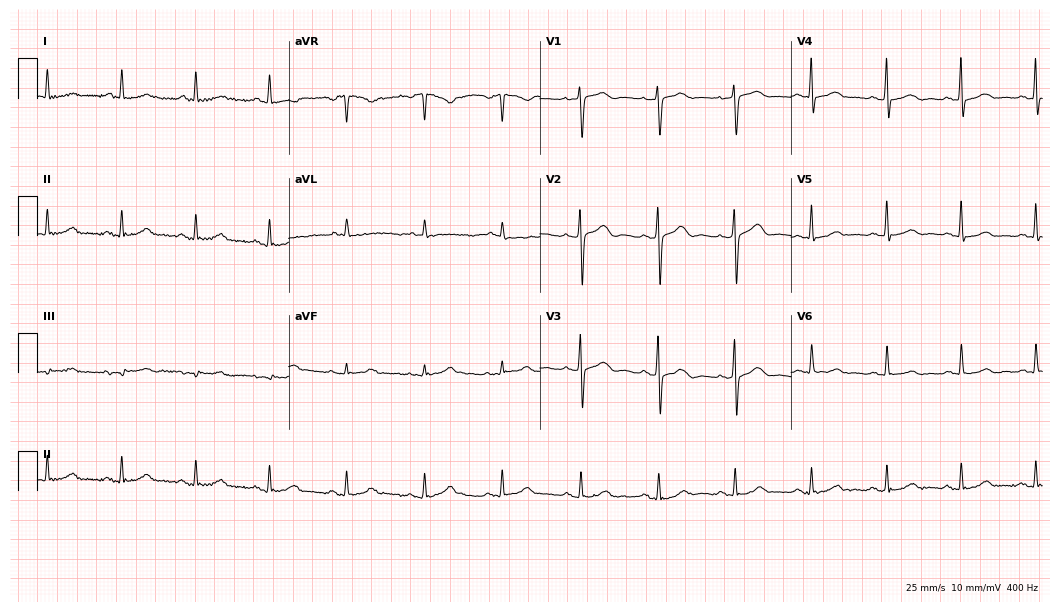
Electrocardiogram (10.2-second recording at 400 Hz), a 62-year-old female. Overall reading on record: normal ECG.